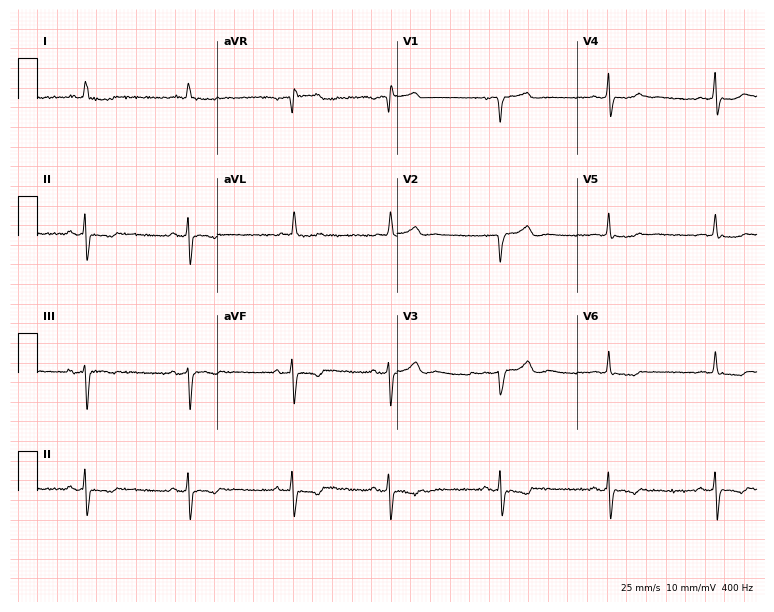
Standard 12-lead ECG recorded from a woman, 66 years old (7.3-second recording at 400 Hz). None of these six findings is recorded: first-degree AV block, right bundle branch block, left bundle branch block, sinus bradycardia, atrial fibrillation, sinus tachycardia.